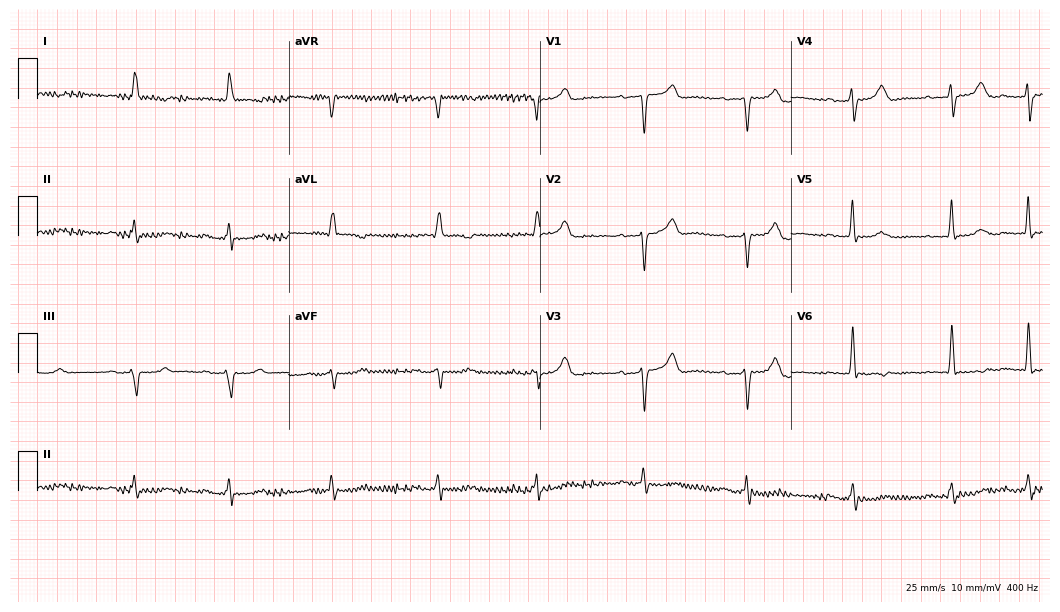
ECG — an 84-year-old female patient. Screened for six findings — first-degree AV block, right bundle branch block (RBBB), left bundle branch block (LBBB), sinus bradycardia, atrial fibrillation (AF), sinus tachycardia — none is recorded. Other findings, if any, are not listed.